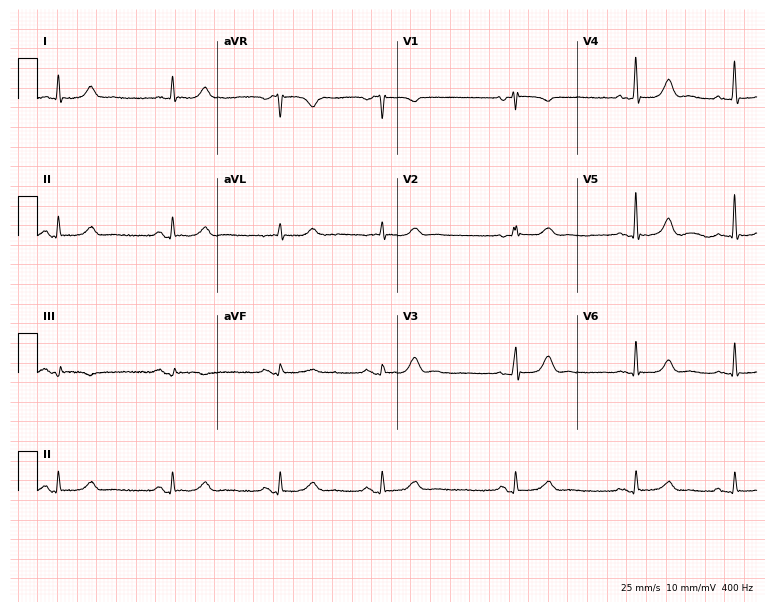
Resting 12-lead electrocardiogram. Patient: a woman, 77 years old. None of these six findings is recorded: first-degree AV block, right bundle branch block, left bundle branch block, sinus bradycardia, atrial fibrillation, sinus tachycardia.